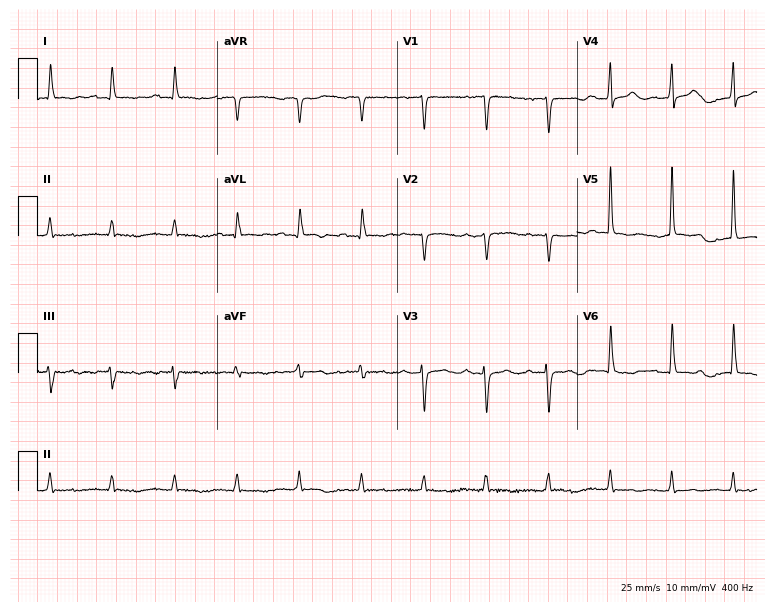
ECG — a woman, 83 years old. Screened for six findings — first-degree AV block, right bundle branch block (RBBB), left bundle branch block (LBBB), sinus bradycardia, atrial fibrillation (AF), sinus tachycardia — none is recorded.